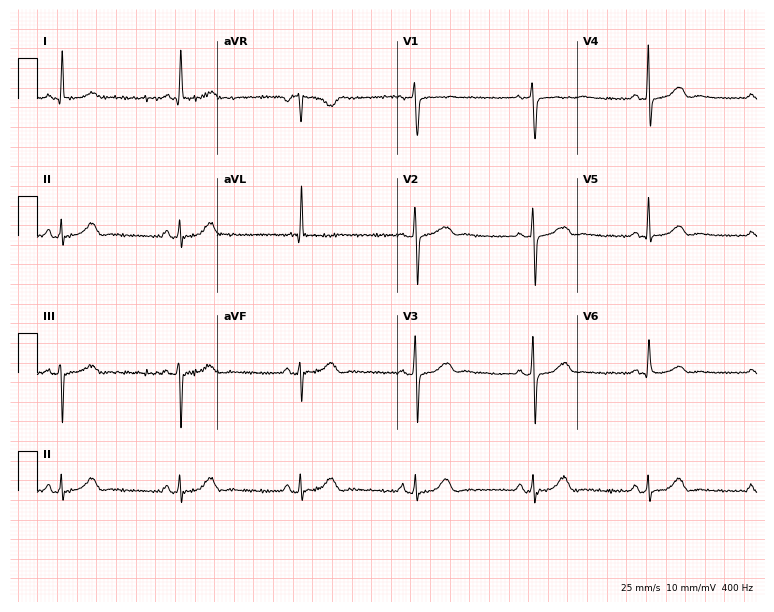
12-lead ECG from a 75-year-old woman (7.3-second recording at 400 Hz). Recorded interpretation: within normal limits.